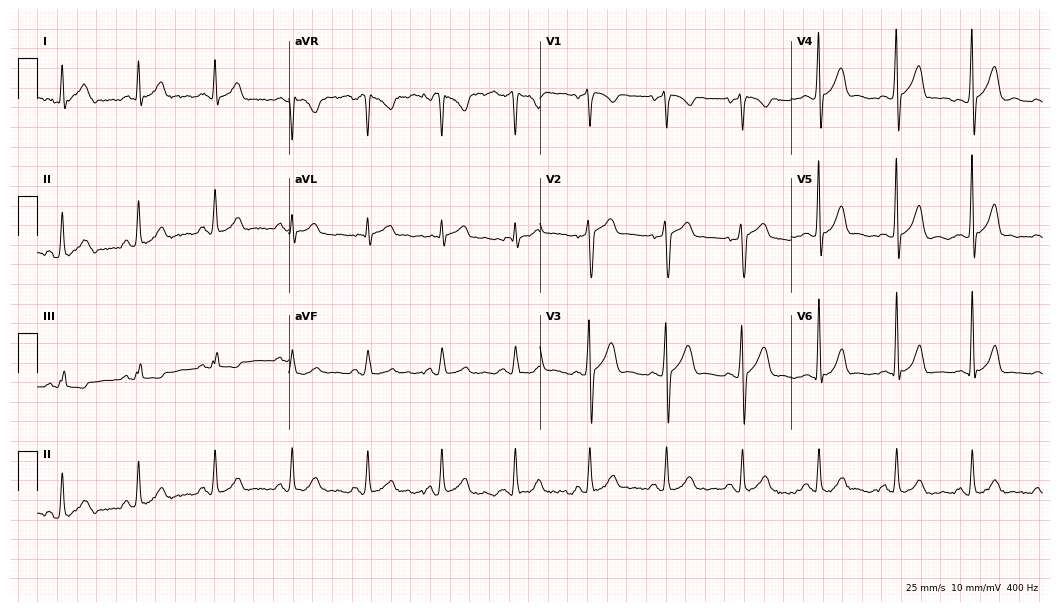
12-lead ECG from a male, 25 years old. Recorded interpretation: within normal limits.